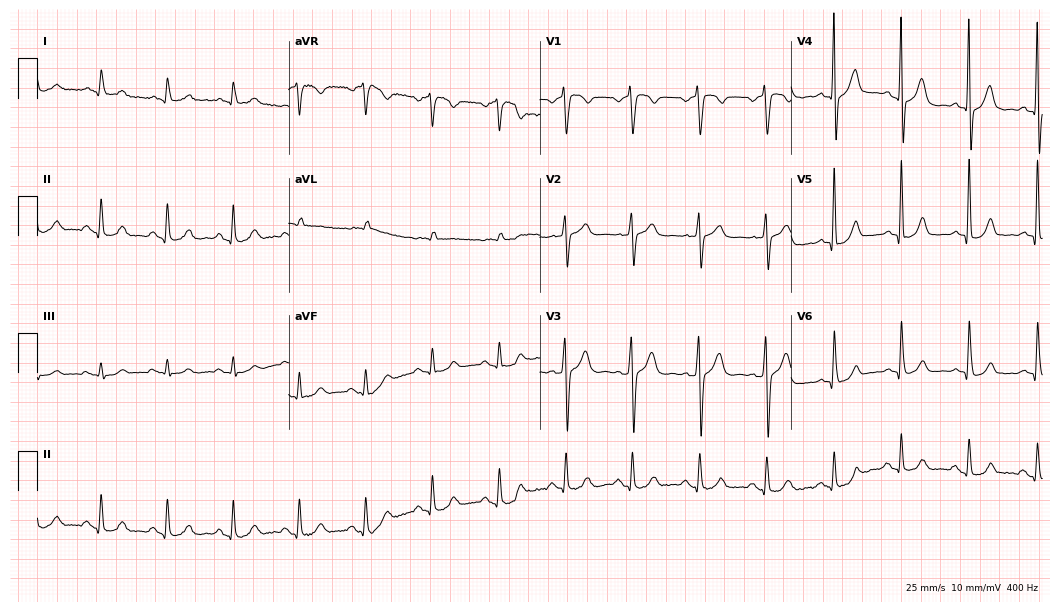
Electrocardiogram, a male, 71 years old. Overall reading on record: normal ECG.